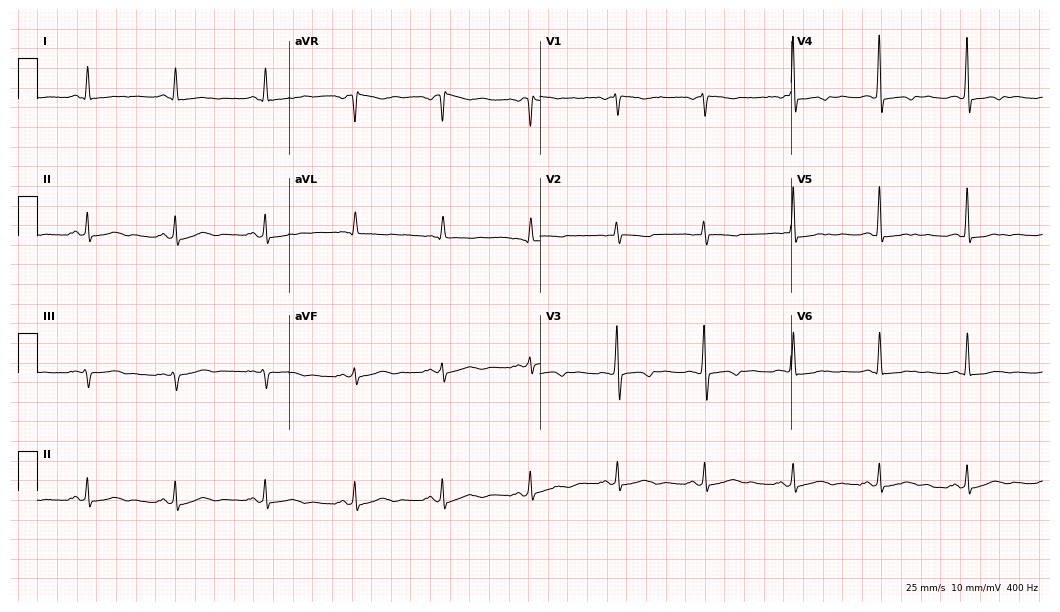
Standard 12-lead ECG recorded from a 45-year-old female. None of these six findings is recorded: first-degree AV block, right bundle branch block, left bundle branch block, sinus bradycardia, atrial fibrillation, sinus tachycardia.